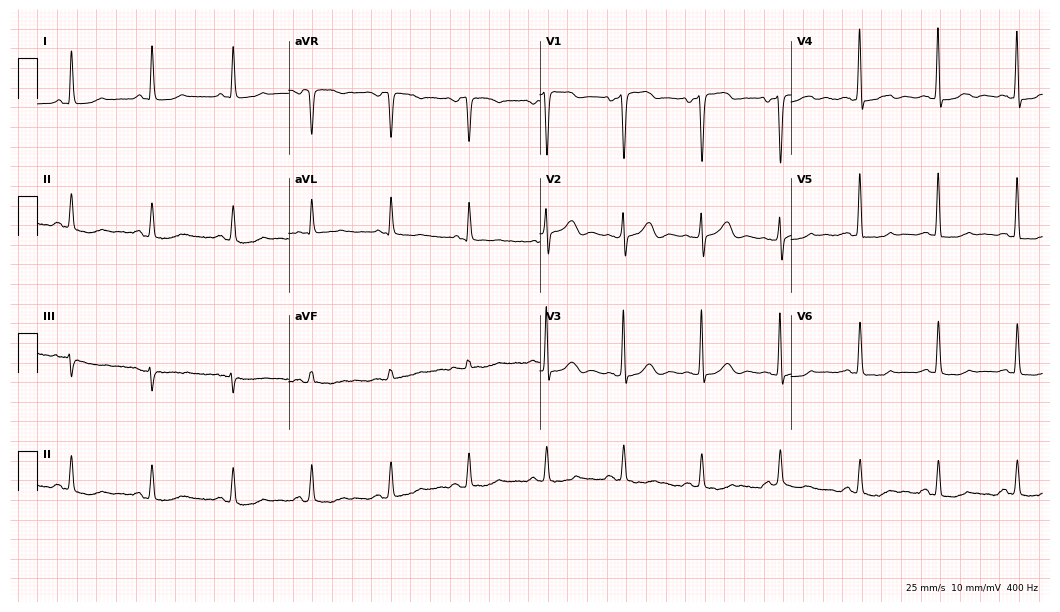
Standard 12-lead ECG recorded from a woman, 58 years old (10.2-second recording at 400 Hz). None of these six findings is recorded: first-degree AV block, right bundle branch block, left bundle branch block, sinus bradycardia, atrial fibrillation, sinus tachycardia.